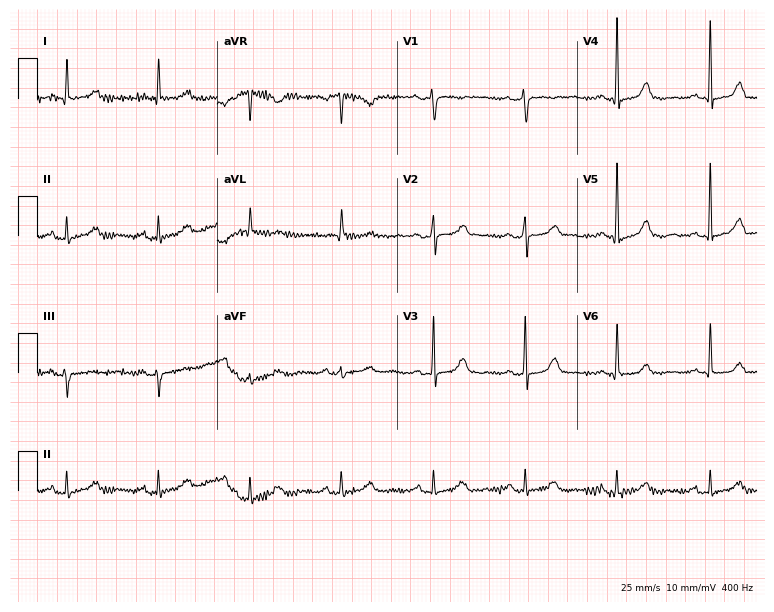
Standard 12-lead ECG recorded from a female, 79 years old. None of these six findings is recorded: first-degree AV block, right bundle branch block, left bundle branch block, sinus bradycardia, atrial fibrillation, sinus tachycardia. Other findings, if any, are not listed.